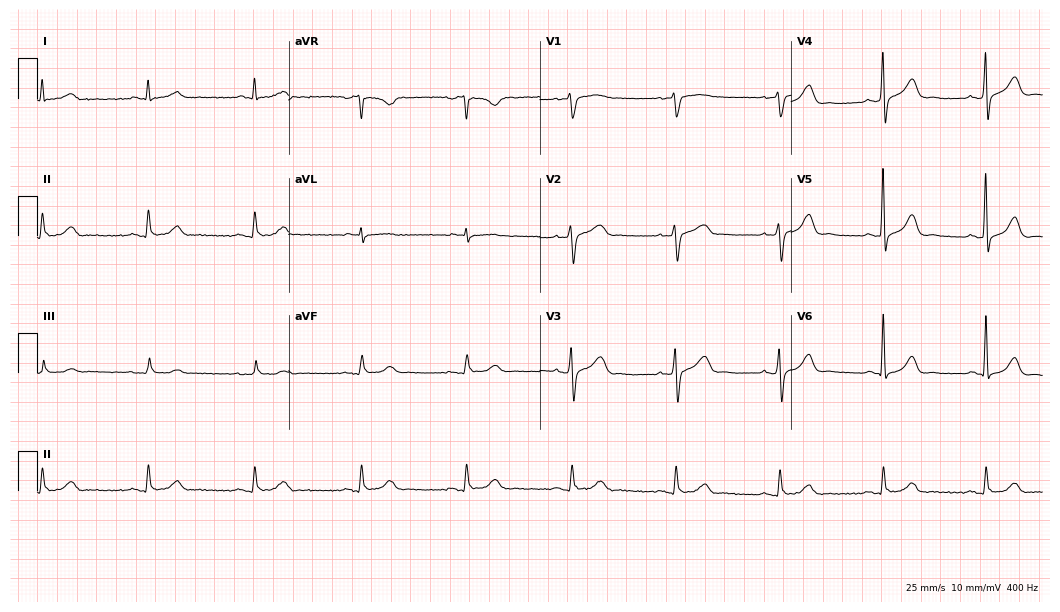
12-lead ECG from a man, 71 years old (10.2-second recording at 400 Hz). Recorded interpretation: within normal limits.